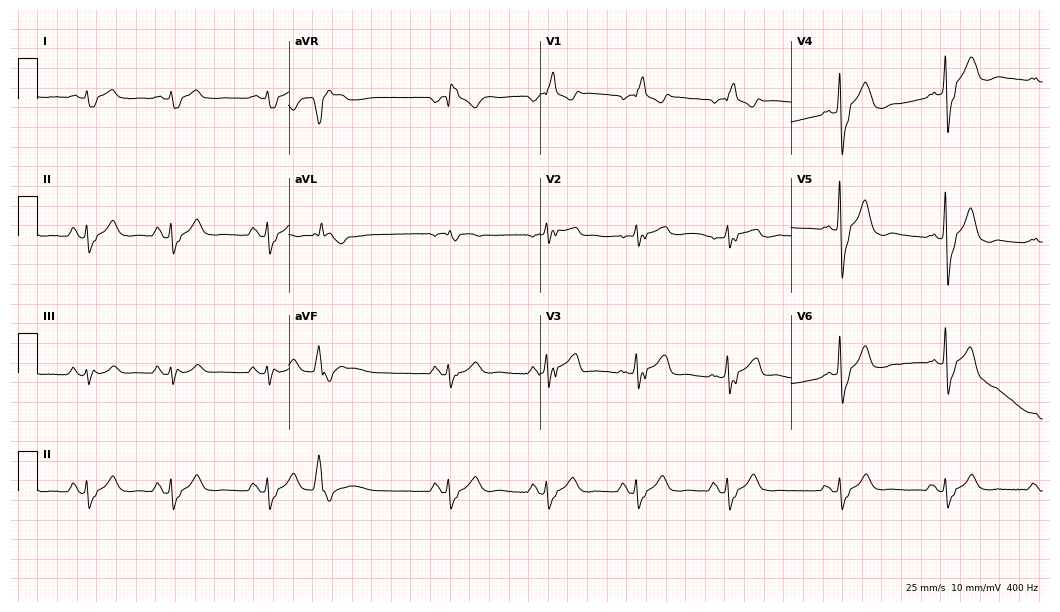
Electrocardiogram (10.2-second recording at 400 Hz), a man, 82 years old. Of the six screened findings (first-degree AV block, right bundle branch block, left bundle branch block, sinus bradycardia, atrial fibrillation, sinus tachycardia), none is recorded.